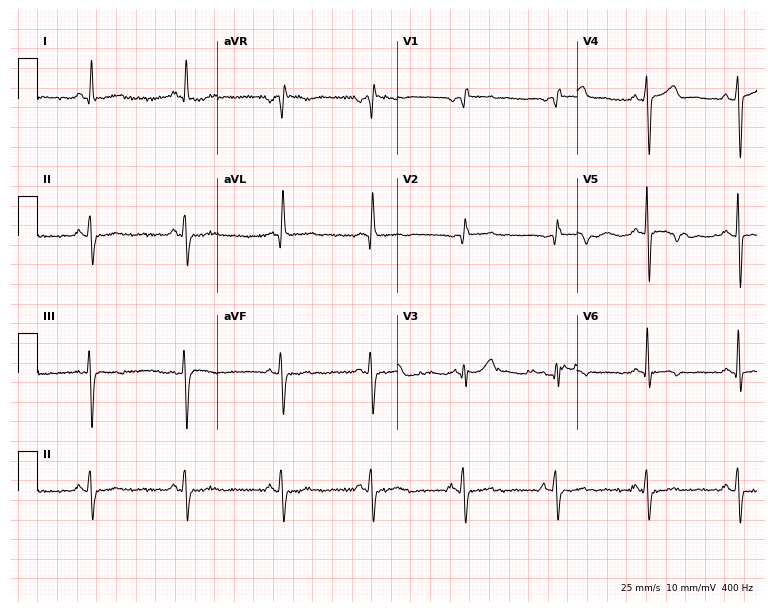
Resting 12-lead electrocardiogram. Patient: a 56-year-old man. None of these six findings is recorded: first-degree AV block, right bundle branch block (RBBB), left bundle branch block (LBBB), sinus bradycardia, atrial fibrillation (AF), sinus tachycardia. Findings outside these six are not listed.